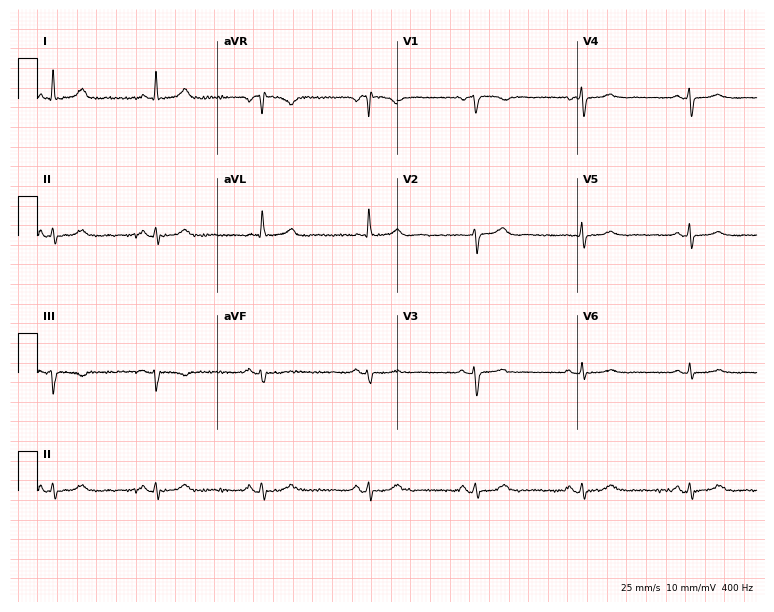
Resting 12-lead electrocardiogram (7.3-second recording at 400 Hz). Patient: a 62-year-old woman. Read as a normal ECG.